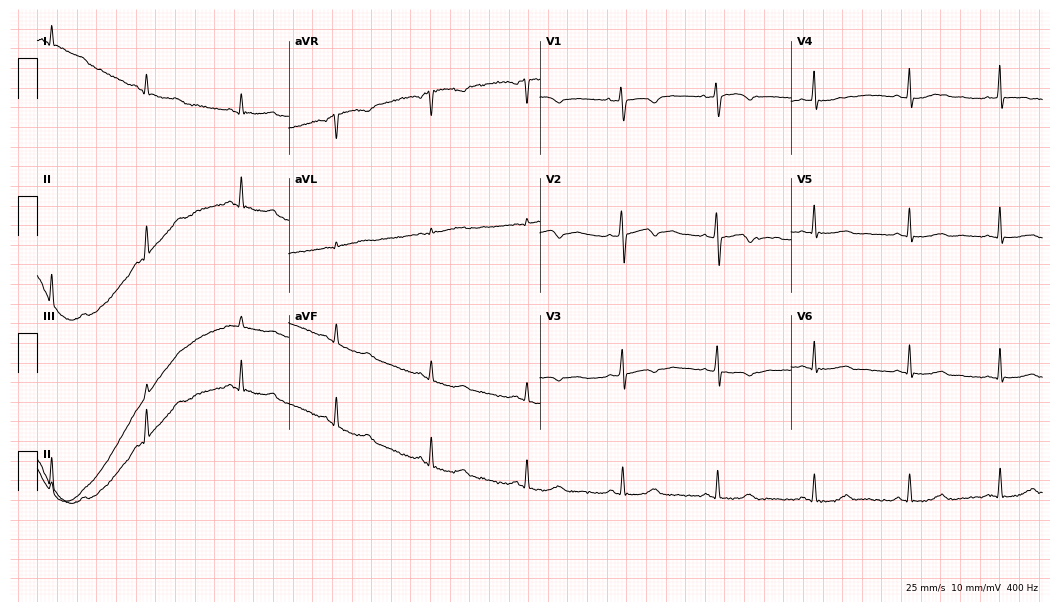
Standard 12-lead ECG recorded from a woman, 45 years old. None of these six findings is recorded: first-degree AV block, right bundle branch block (RBBB), left bundle branch block (LBBB), sinus bradycardia, atrial fibrillation (AF), sinus tachycardia. Other findings, if any, are not listed.